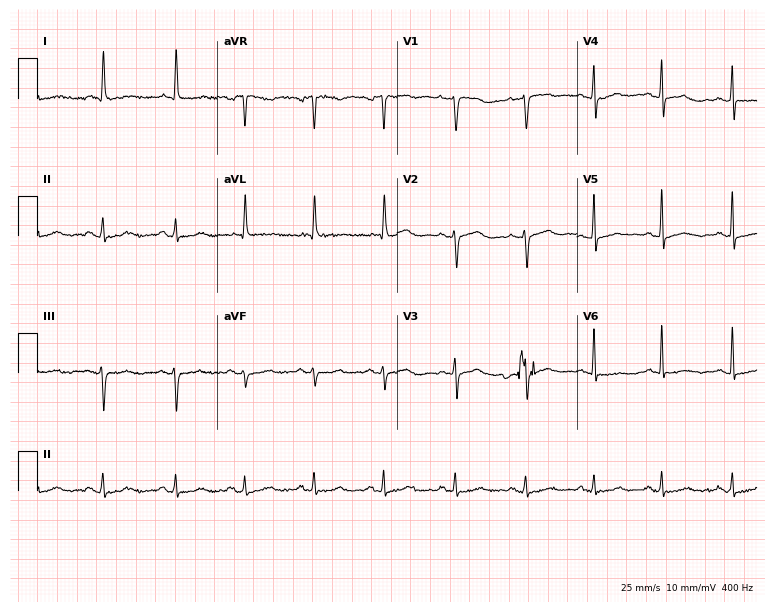
Resting 12-lead electrocardiogram. Patient: a 74-year-old male. Read as a normal ECG.